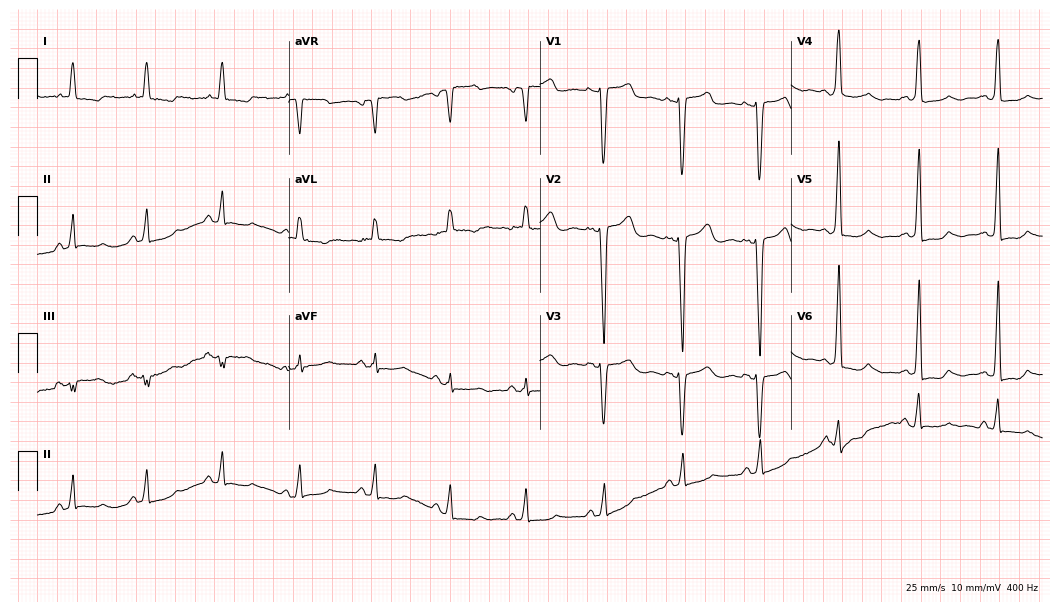
12-lead ECG from a female patient, 84 years old. No first-degree AV block, right bundle branch block, left bundle branch block, sinus bradycardia, atrial fibrillation or sinus tachycardia recorded for this tracing.